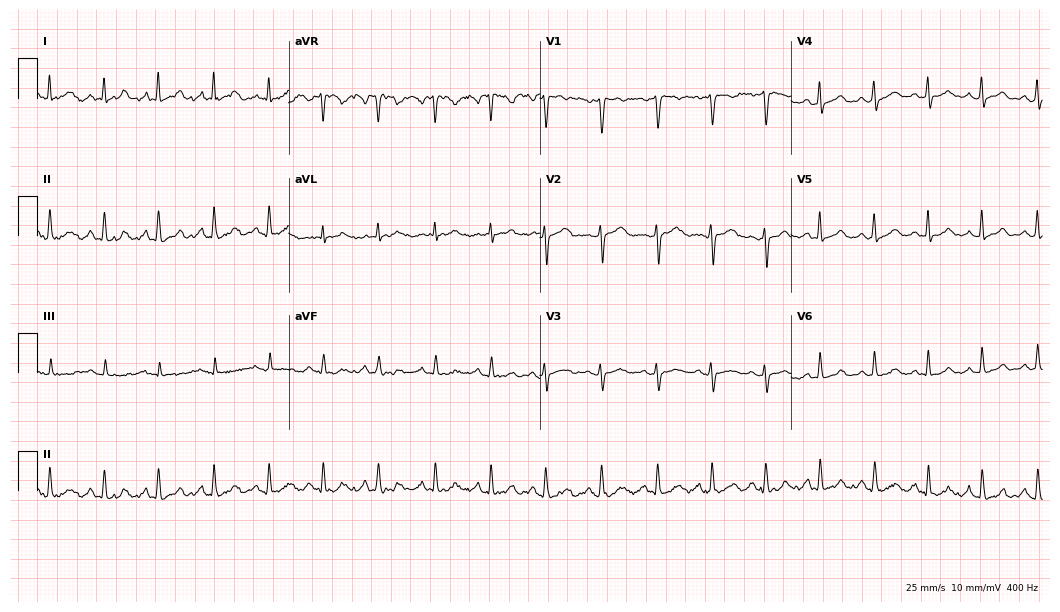
12-lead ECG from a female, 49 years old (10.2-second recording at 400 Hz). Shows sinus tachycardia (a sinus rate of 100 beats per minute or more).